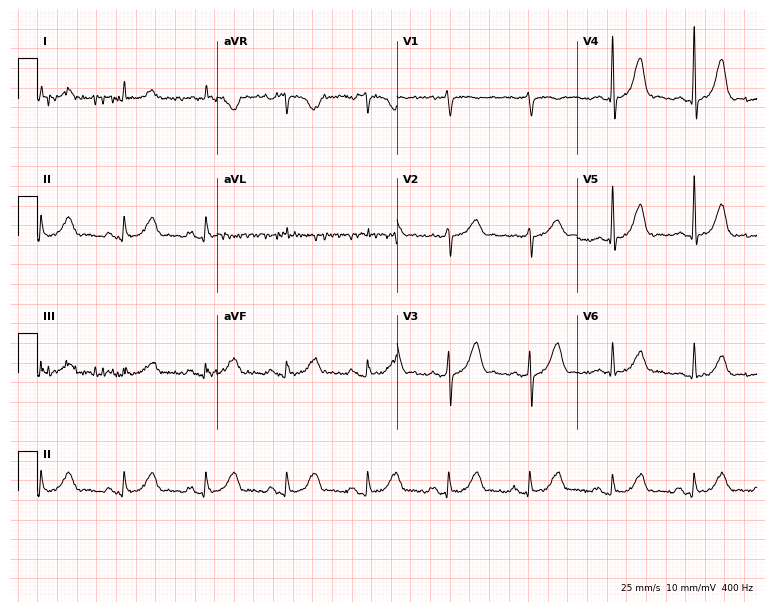
Resting 12-lead electrocardiogram (7.3-second recording at 400 Hz). Patient: a 75-year-old woman. Read as a normal ECG.